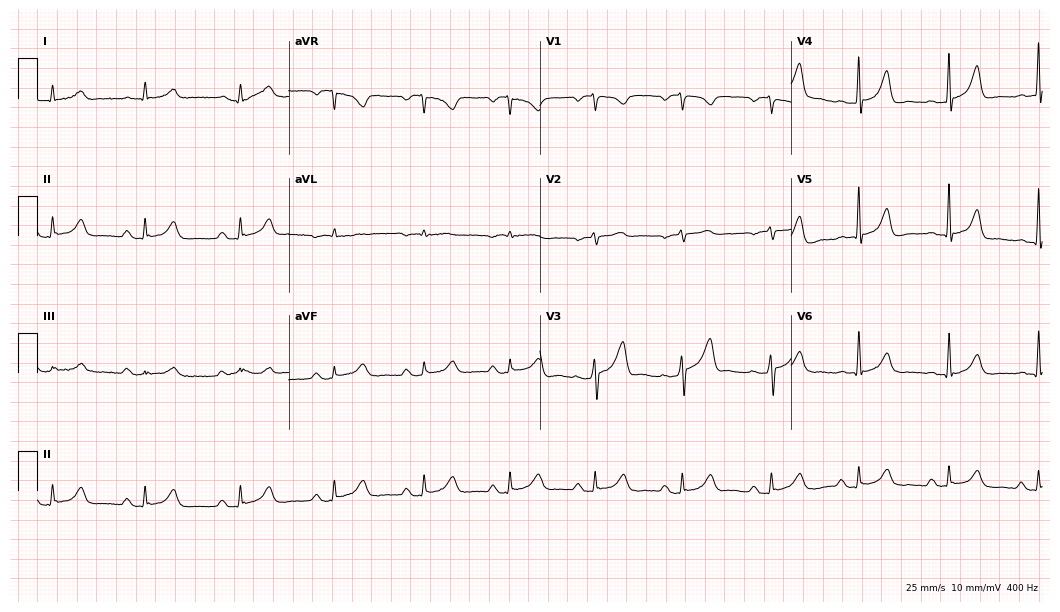
Resting 12-lead electrocardiogram. Patient: a 75-year-old male. None of these six findings is recorded: first-degree AV block, right bundle branch block, left bundle branch block, sinus bradycardia, atrial fibrillation, sinus tachycardia. Findings outside these six are not listed.